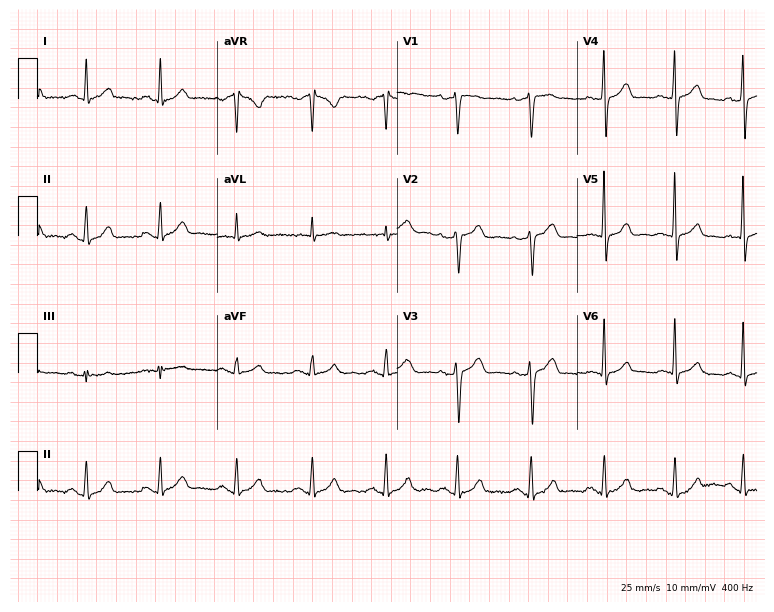
12-lead ECG from a 48-year-old male patient. Labelled as a normal ECG.